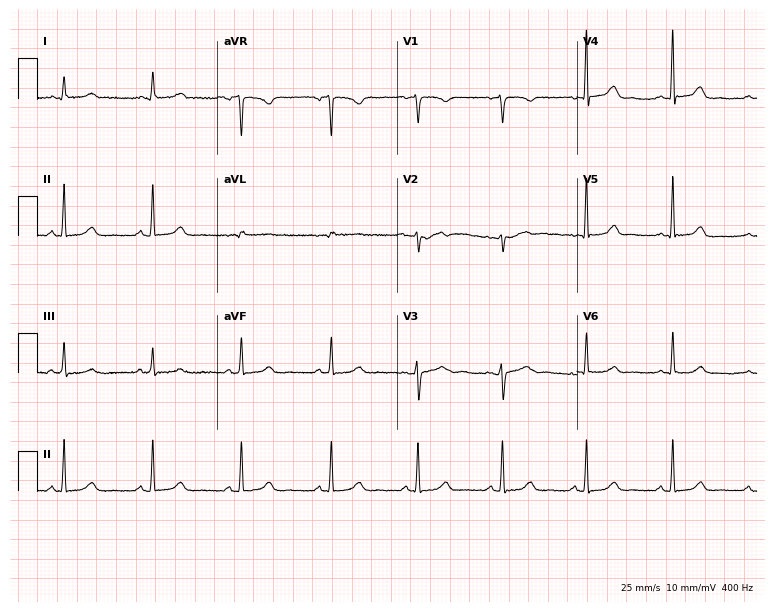
Standard 12-lead ECG recorded from a female, 42 years old (7.3-second recording at 400 Hz). Read as a normal ECG.